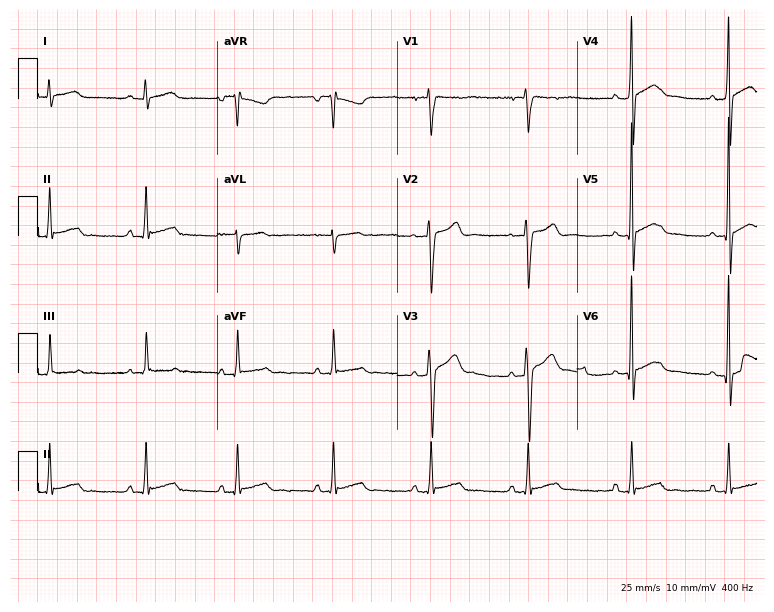
Electrocardiogram (7.3-second recording at 400 Hz), a male patient, 22 years old. Overall reading on record: normal ECG.